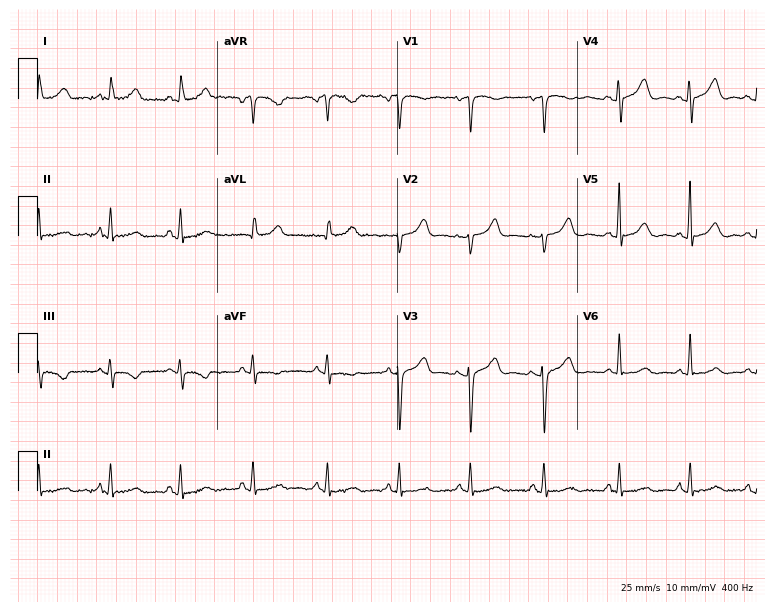
12-lead ECG from a female patient, 62 years old. Recorded interpretation: within normal limits.